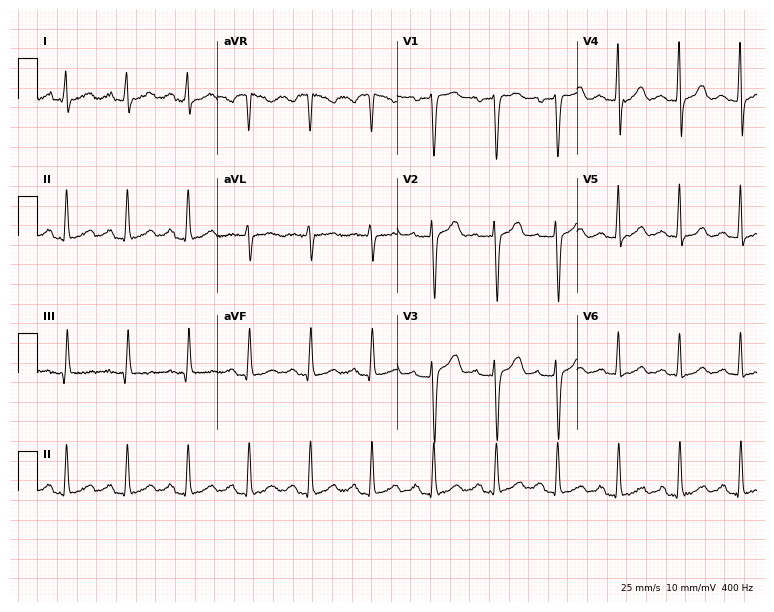
12-lead ECG from a 43-year-old female (7.3-second recording at 400 Hz). No first-degree AV block, right bundle branch block (RBBB), left bundle branch block (LBBB), sinus bradycardia, atrial fibrillation (AF) or sinus tachycardia recorded for this tracing.